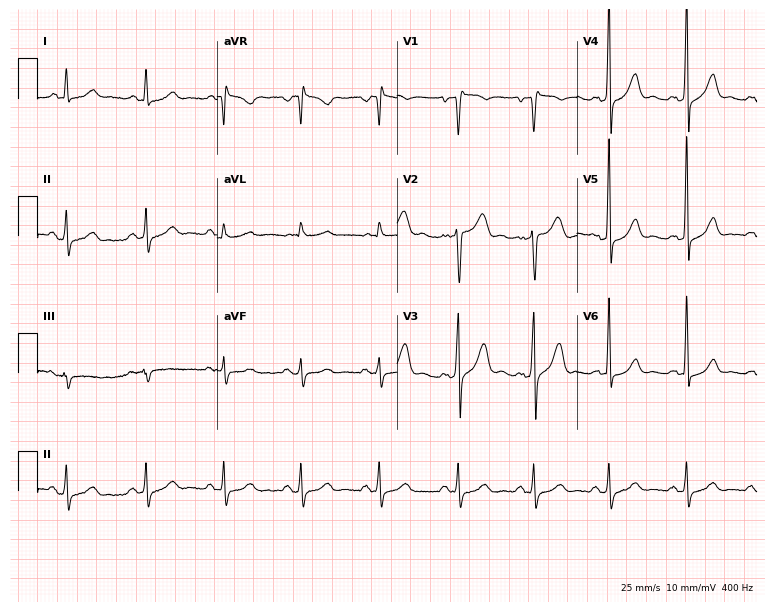
12-lead ECG from a man, 57 years old. Recorded interpretation: within normal limits.